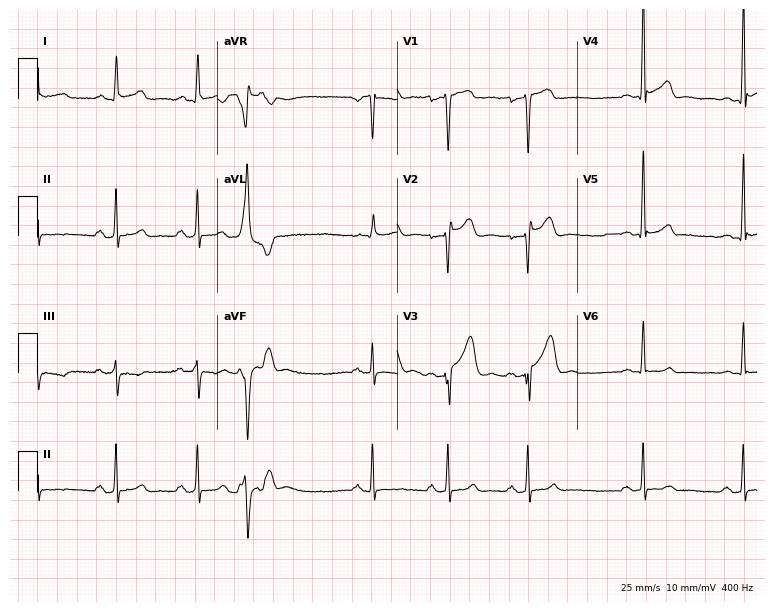
12-lead ECG from a male, 37 years old. No first-degree AV block, right bundle branch block (RBBB), left bundle branch block (LBBB), sinus bradycardia, atrial fibrillation (AF) or sinus tachycardia recorded for this tracing.